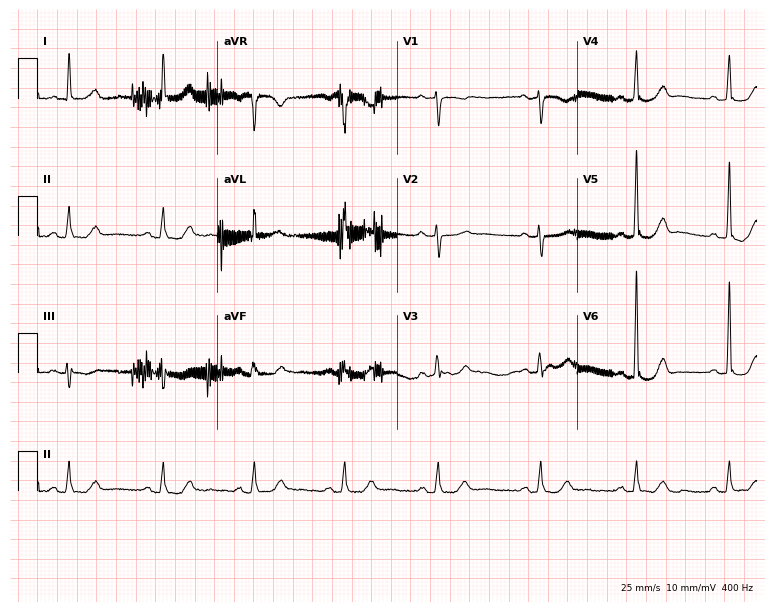
12-lead ECG (7.3-second recording at 400 Hz) from an 83-year-old female. Labelled as a normal ECG.